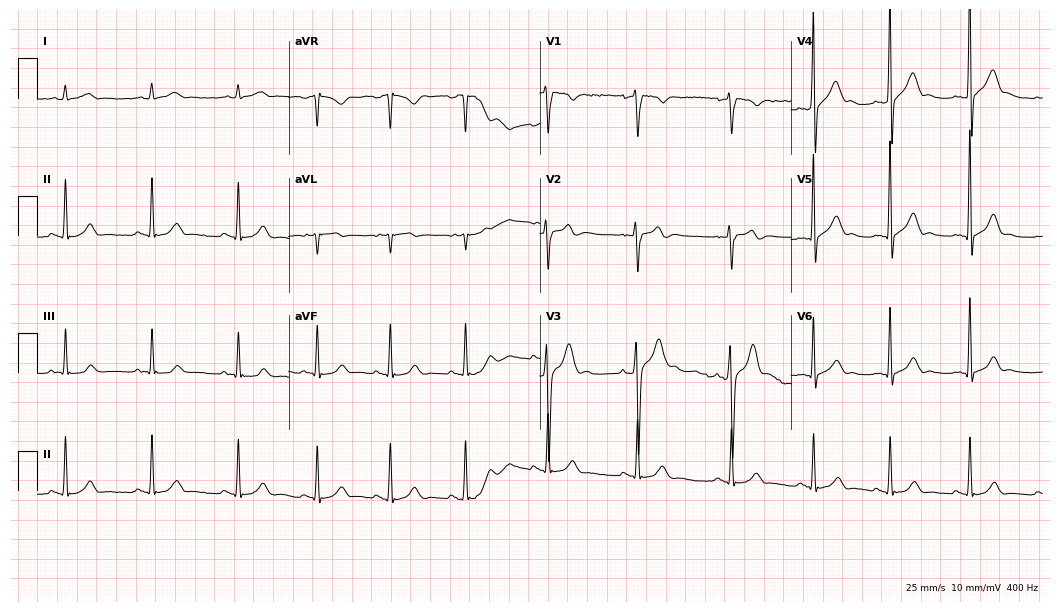
Electrocardiogram (10.2-second recording at 400 Hz), a 19-year-old female patient. Of the six screened findings (first-degree AV block, right bundle branch block (RBBB), left bundle branch block (LBBB), sinus bradycardia, atrial fibrillation (AF), sinus tachycardia), none is recorded. Other findings, if any, are not listed.